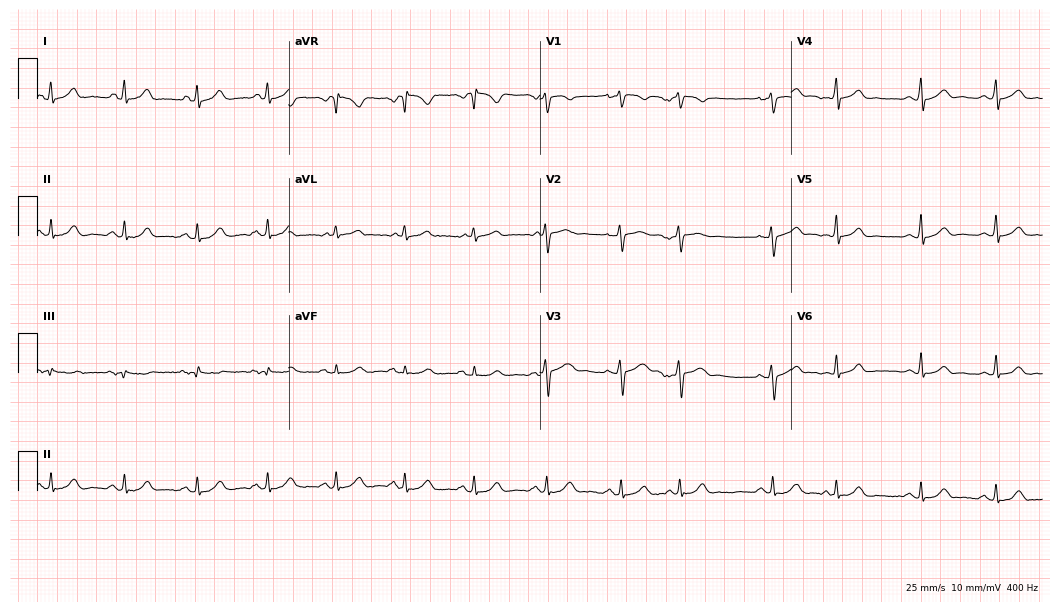
12-lead ECG (10.2-second recording at 400 Hz) from a 25-year-old female. Screened for six findings — first-degree AV block, right bundle branch block, left bundle branch block, sinus bradycardia, atrial fibrillation, sinus tachycardia — none is recorded. Only these six findings were labelled.